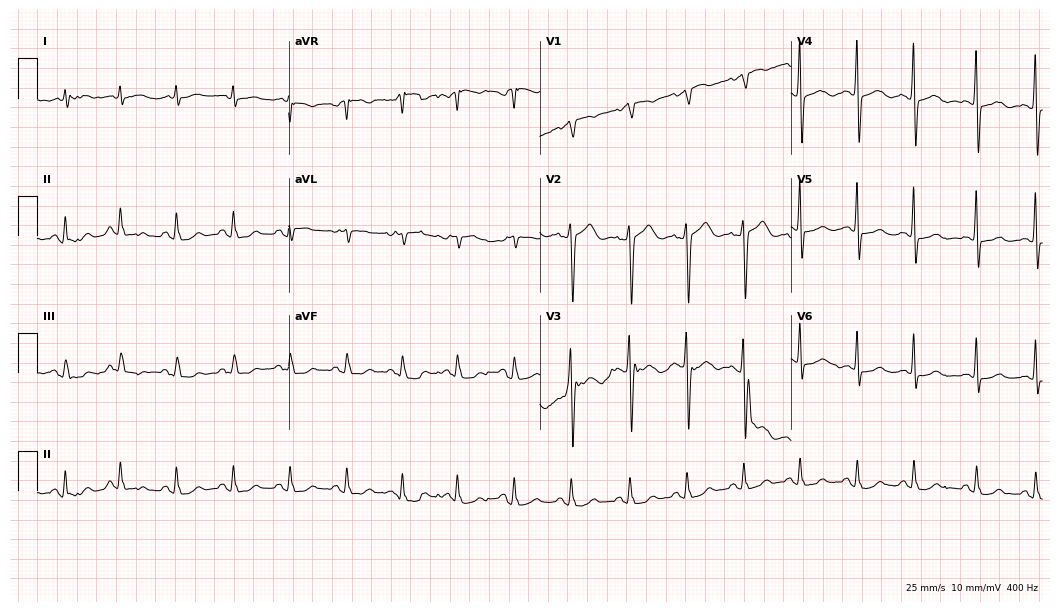
12-lead ECG from a 75-year-old female. Screened for six findings — first-degree AV block, right bundle branch block (RBBB), left bundle branch block (LBBB), sinus bradycardia, atrial fibrillation (AF), sinus tachycardia — none is recorded. Only these six findings were labelled.